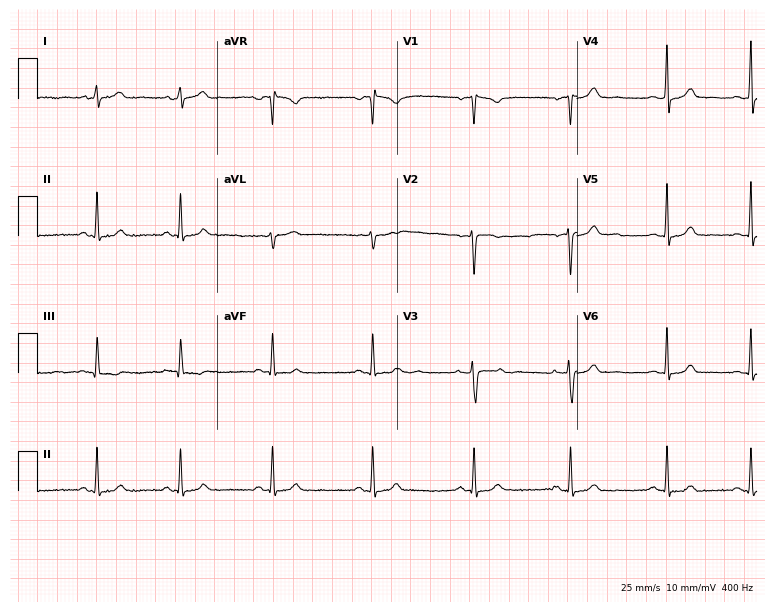
Standard 12-lead ECG recorded from a female patient, 38 years old. Read as a normal ECG.